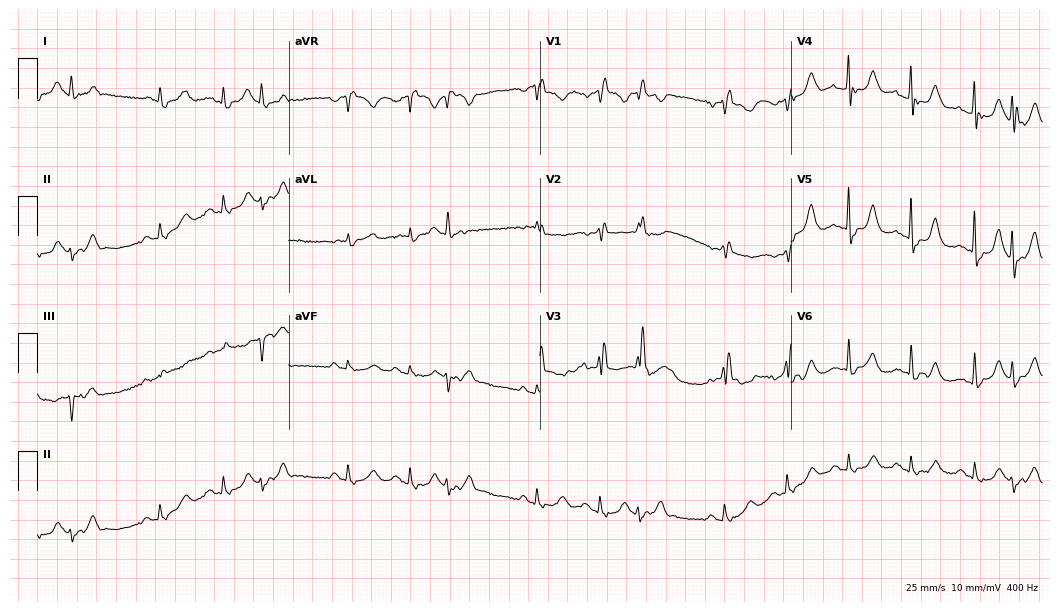
Resting 12-lead electrocardiogram (10.2-second recording at 400 Hz). Patient: an 84-year-old female. The tracing shows right bundle branch block.